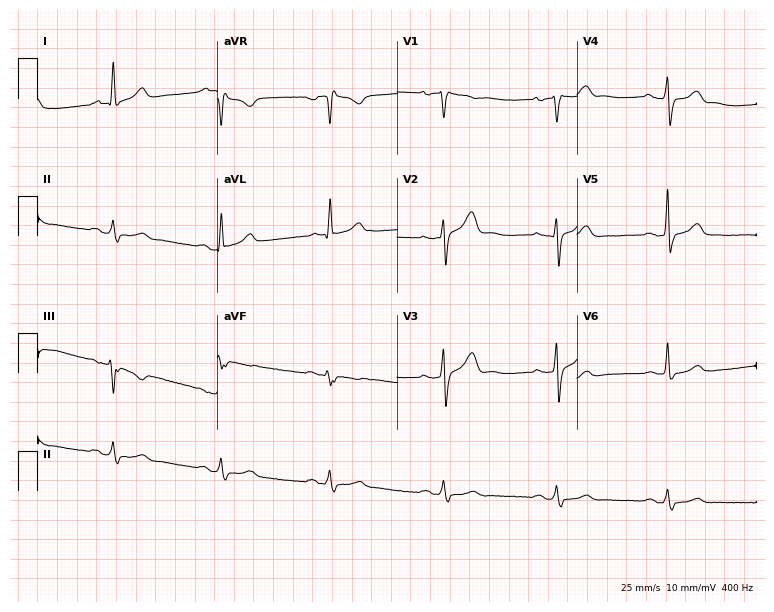
12-lead ECG from a 51-year-old man. No first-degree AV block, right bundle branch block (RBBB), left bundle branch block (LBBB), sinus bradycardia, atrial fibrillation (AF) or sinus tachycardia recorded for this tracing. Other findings, if any, are not listed.